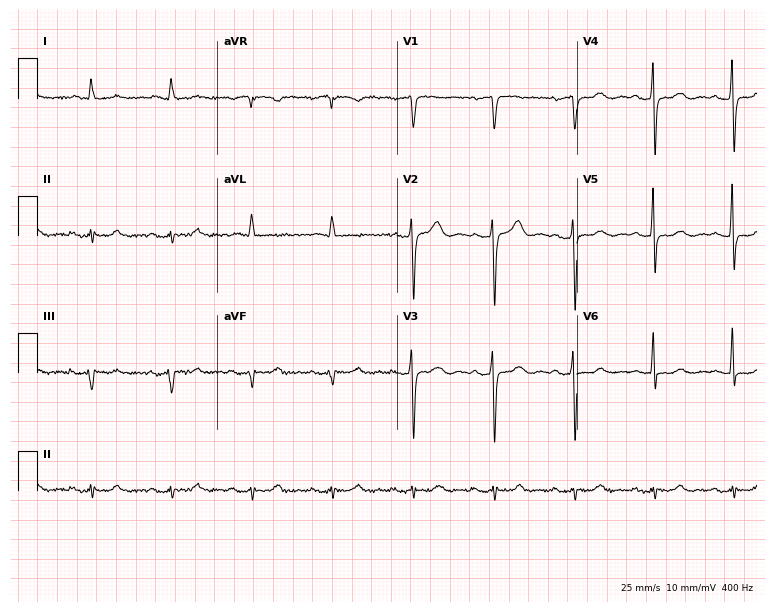
12-lead ECG (7.3-second recording at 400 Hz) from a 75-year-old male. Screened for six findings — first-degree AV block, right bundle branch block, left bundle branch block, sinus bradycardia, atrial fibrillation, sinus tachycardia — none is recorded.